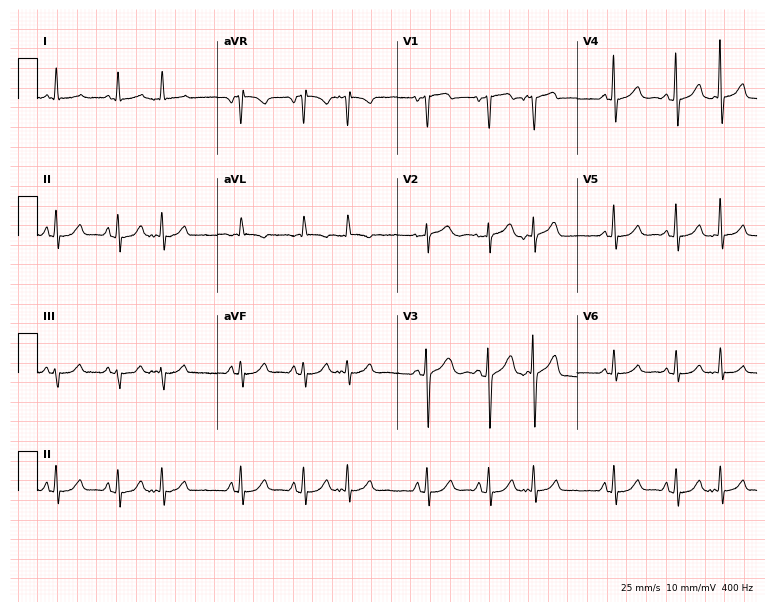
Resting 12-lead electrocardiogram (7.3-second recording at 400 Hz). Patient: a 70-year-old male. None of these six findings is recorded: first-degree AV block, right bundle branch block, left bundle branch block, sinus bradycardia, atrial fibrillation, sinus tachycardia. Other findings, if any, are not listed.